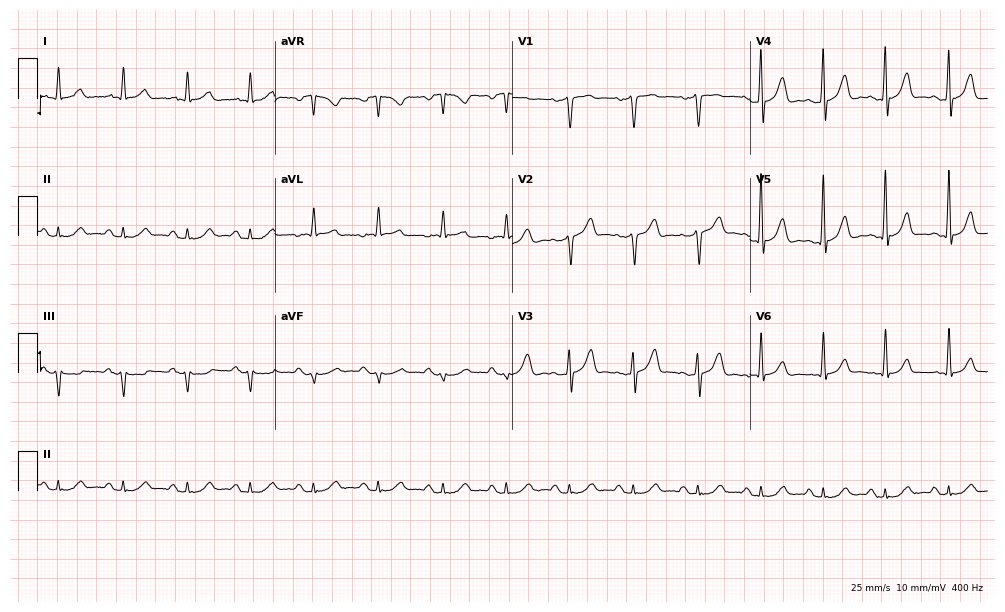
Standard 12-lead ECG recorded from a man, 75 years old. Read as a normal ECG.